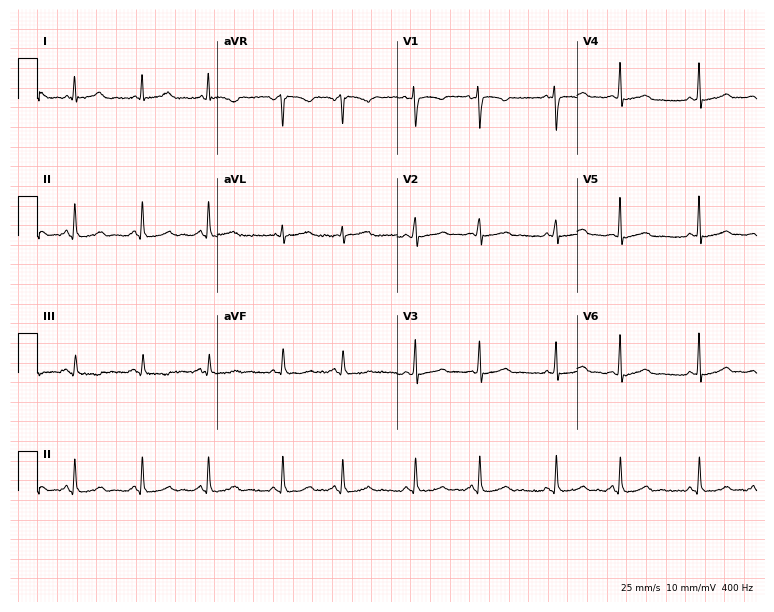
Electrocardiogram (7.3-second recording at 400 Hz), a 33-year-old female patient. Of the six screened findings (first-degree AV block, right bundle branch block (RBBB), left bundle branch block (LBBB), sinus bradycardia, atrial fibrillation (AF), sinus tachycardia), none is recorded. Other findings, if any, are not listed.